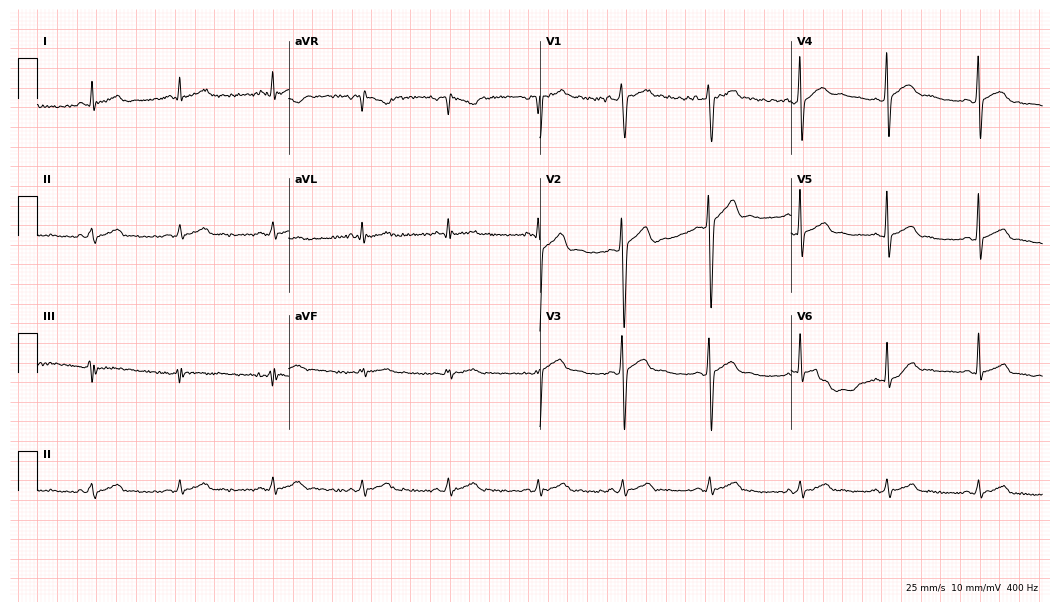
Standard 12-lead ECG recorded from a 17-year-old man. None of these six findings is recorded: first-degree AV block, right bundle branch block, left bundle branch block, sinus bradycardia, atrial fibrillation, sinus tachycardia. Other findings, if any, are not listed.